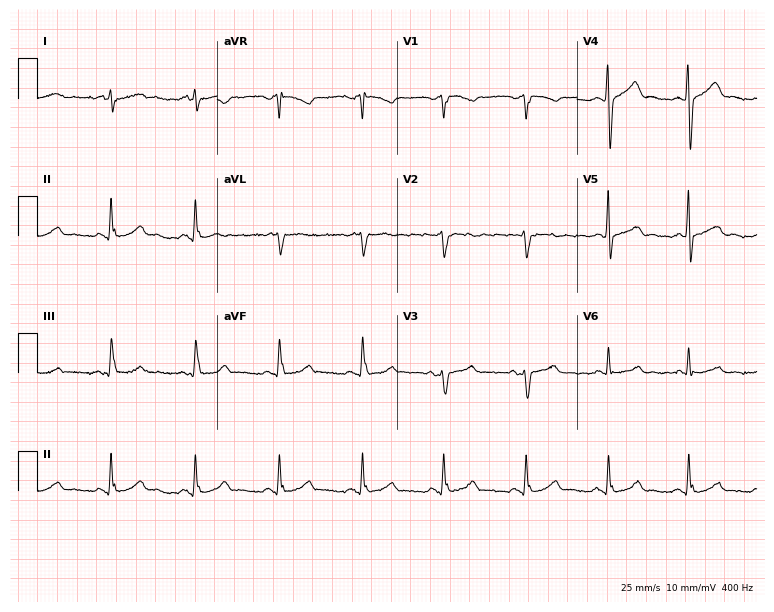
Electrocardiogram (7.3-second recording at 400 Hz), a male, 56 years old. Of the six screened findings (first-degree AV block, right bundle branch block, left bundle branch block, sinus bradycardia, atrial fibrillation, sinus tachycardia), none is recorded. Only these six findings were labelled.